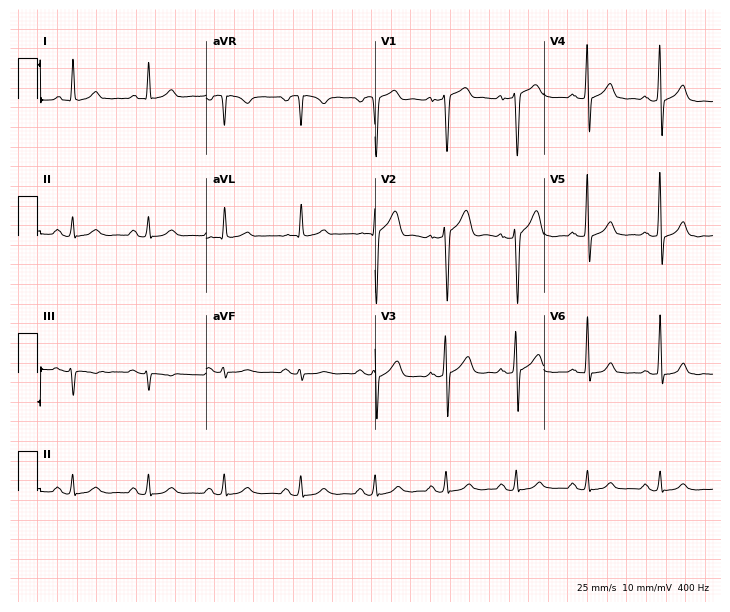
Electrocardiogram, a 48-year-old male patient. Overall reading on record: normal ECG.